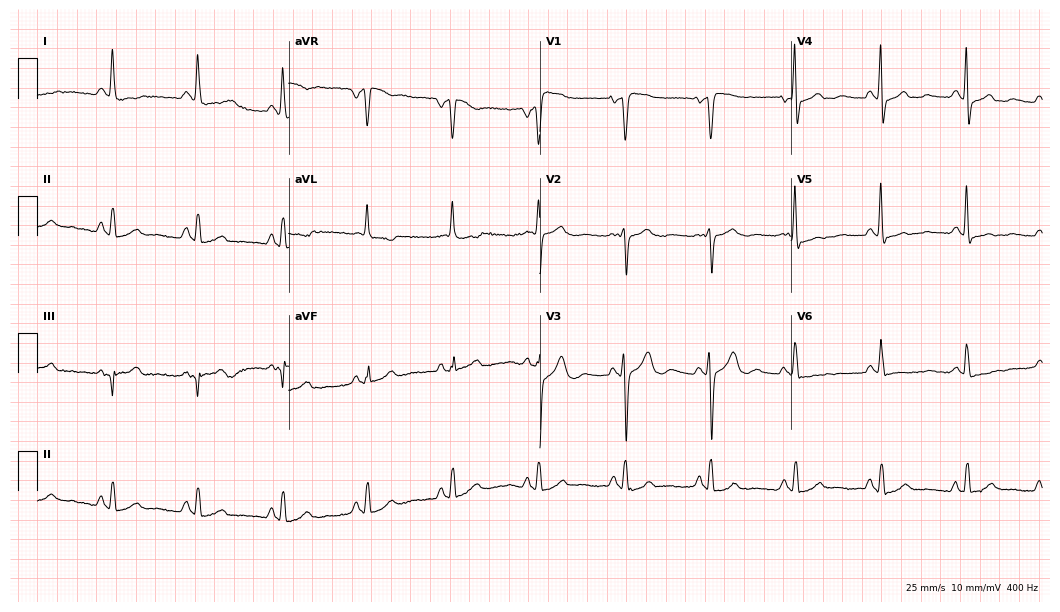
12-lead ECG from an 83-year-old woman. No first-degree AV block, right bundle branch block, left bundle branch block, sinus bradycardia, atrial fibrillation or sinus tachycardia recorded for this tracing. Other findings, if any, are not listed.